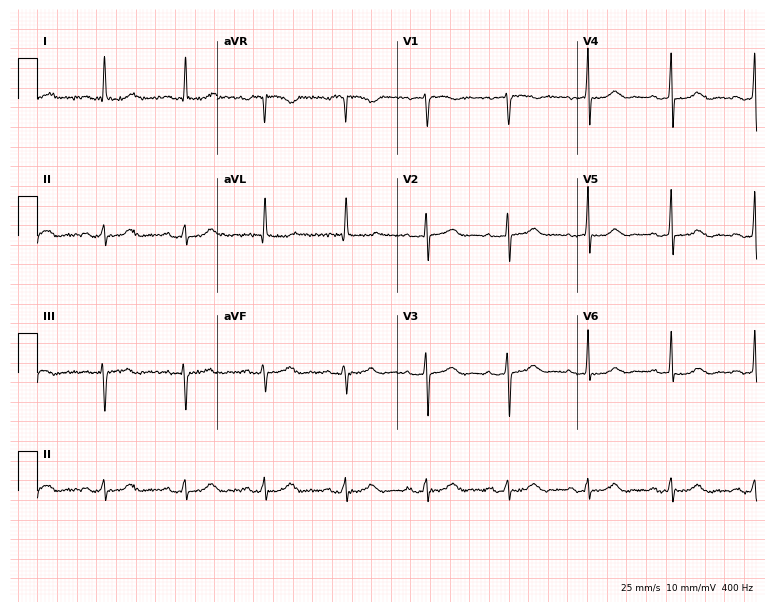
12-lead ECG (7.3-second recording at 400 Hz) from a 78-year-old female patient. Screened for six findings — first-degree AV block, right bundle branch block (RBBB), left bundle branch block (LBBB), sinus bradycardia, atrial fibrillation (AF), sinus tachycardia — none is recorded.